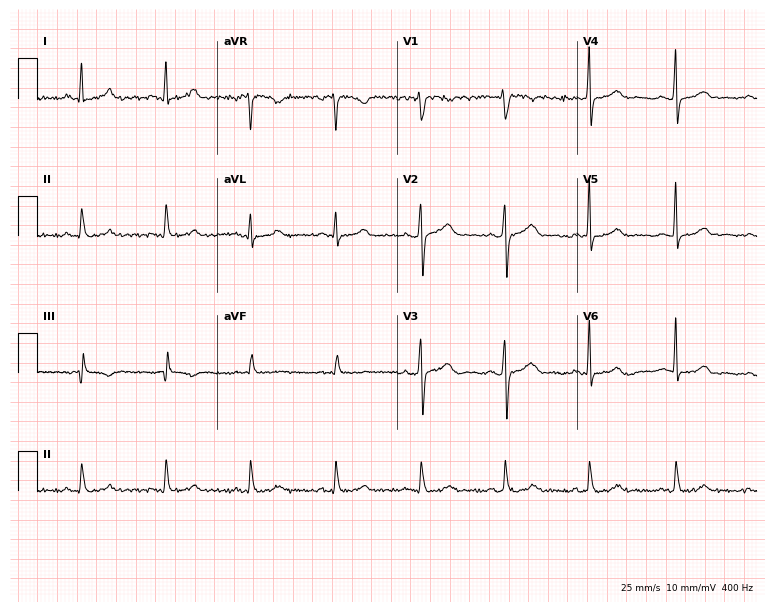
12-lead ECG from a 45-year-old female. Screened for six findings — first-degree AV block, right bundle branch block, left bundle branch block, sinus bradycardia, atrial fibrillation, sinus tachycardia — none is recorded.